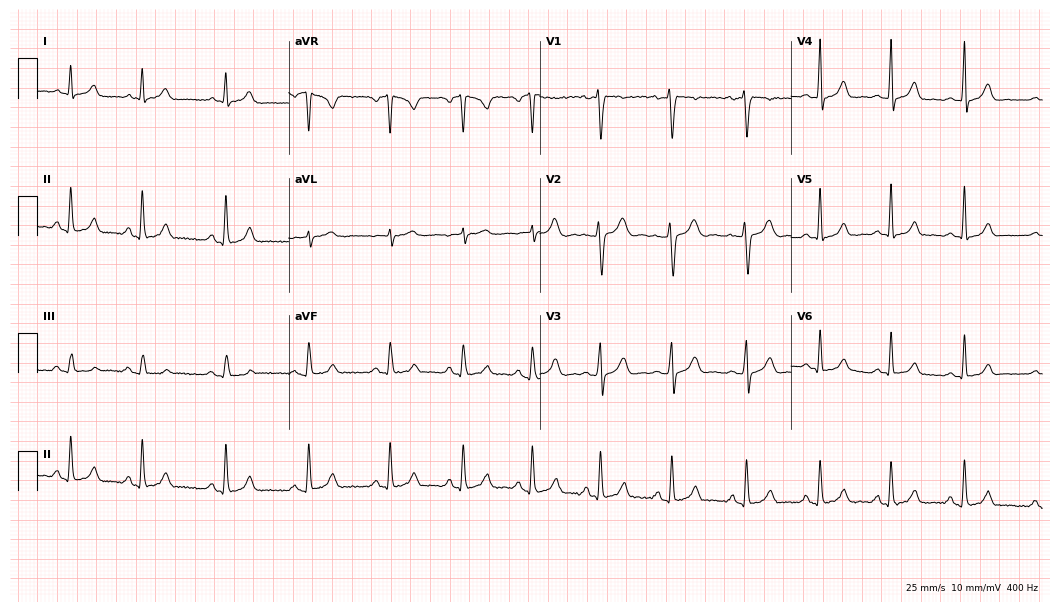
Resting 12-lead electrocardiogram (10.2-second recording at 400 Hz). Patient: a woman, 36 years old. None of these six findings is recorded: first-degree AV block, right bundle branch block, left bundle branch block, sinus bradycardia, atrial fibrillation, sinus tachycardia. Findings outside these six are not listed.